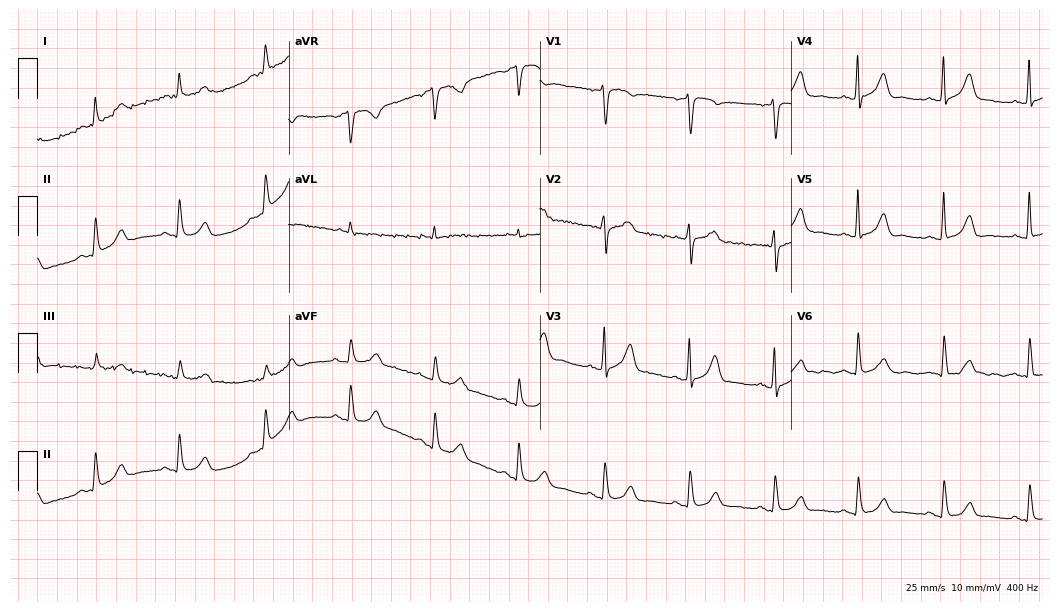
12-lead ECG from a 63-year-old man. Recorded interpretation: within normal limits.